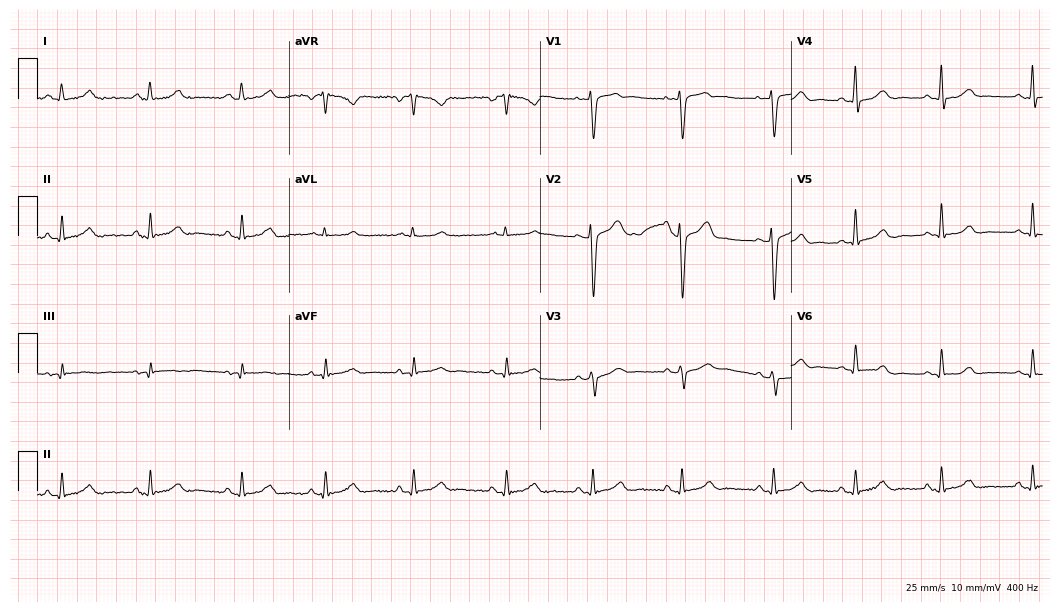
12-lead ECG from a 33-year-old woman. Labelled as a normal ECG.